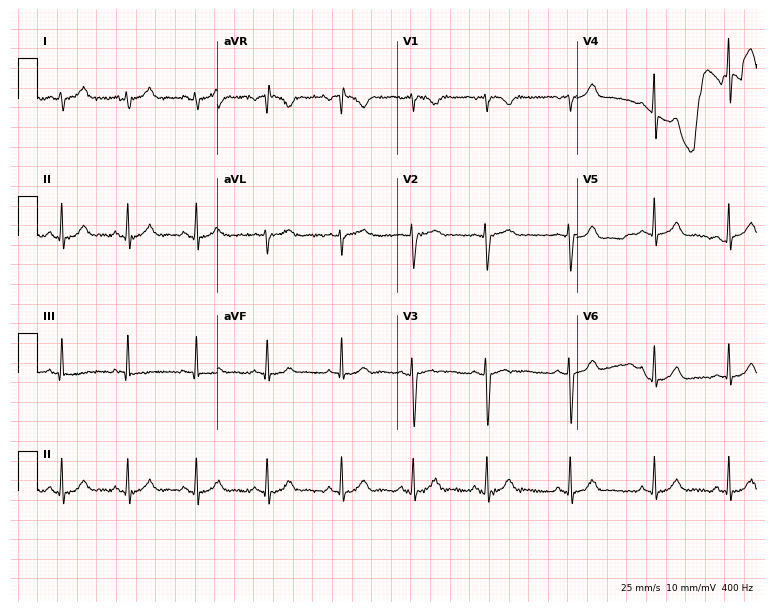
12-lead ECG (7.3-second recording at 400 Hz) from a female, 23 years old. Screened for six findings — first-degree AV block, right bundle branch block, left bundle branch block, sinus bradycardia, atrial fibrillation, sinus tachycardia — none is recorded. Other findings, if any, are not listed.